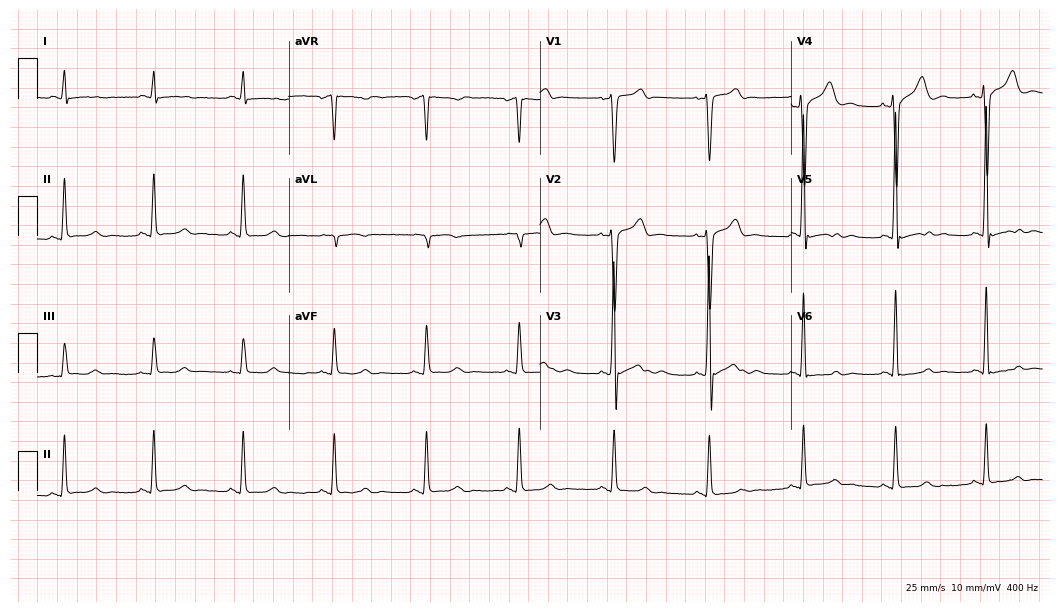
ECG (10.2-second recording at 400 Hz) — a 58-year-old male. Labelled as a normal ECG.